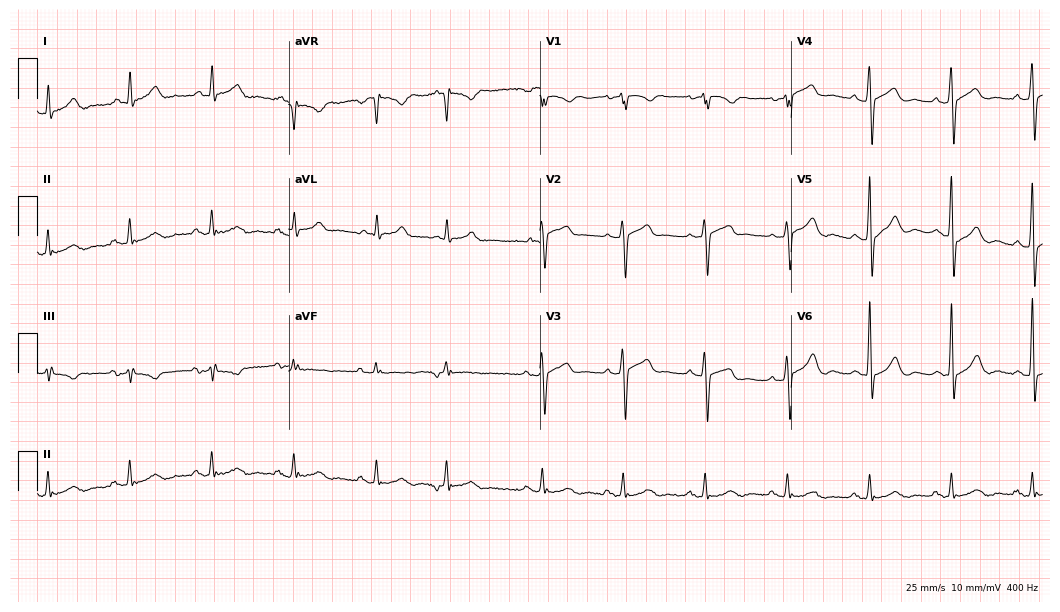
12-lead ECG from an 82-year-old male (10.2-second recording at 400 Hz). No first-degree AV block, right bundle branch block, left bundle branch block, sinus bradycardia, atrial fibrillation or sinus tachycardia recorded for this tracing.